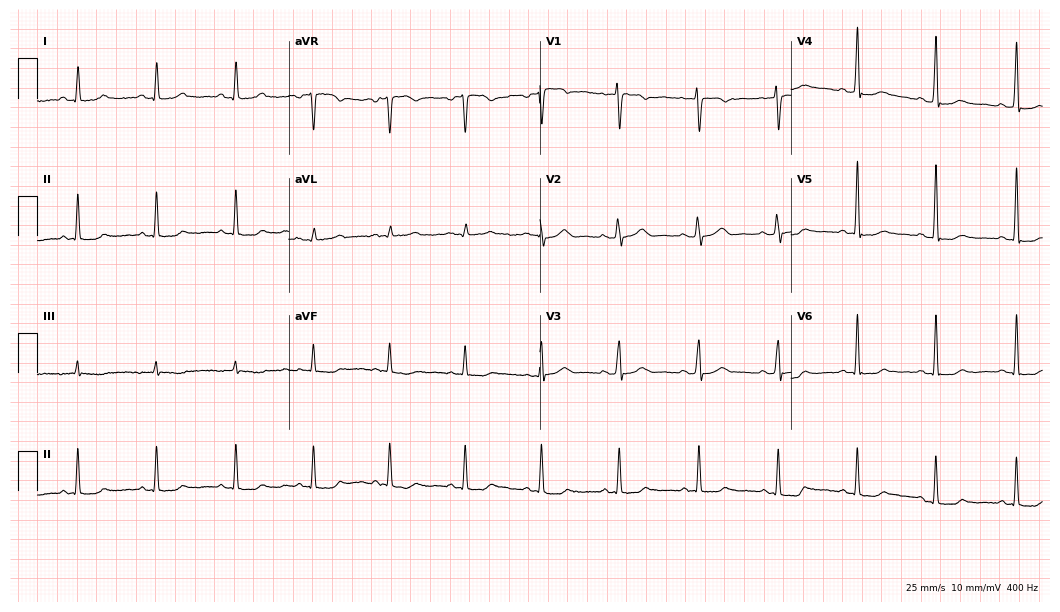
Standard 12-lead ECG recorded from a 34-year-old female (10.2-second recording at 400 Hz). None of these six findings is recorded: first-degree AV block, right bundle branch block (RBBB), left bundle branch block (LBBB), sinus bradycardia, atrial fibrillation (AF), sinus tachycardia. Only these six findings were labelled.